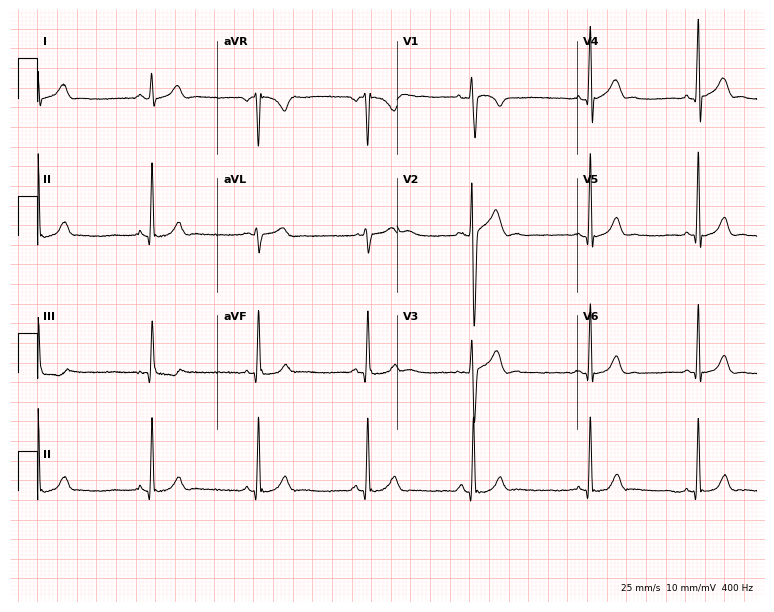
Electrocardiogram, a 17-year-old male. Overall reading on record: normal ECG.